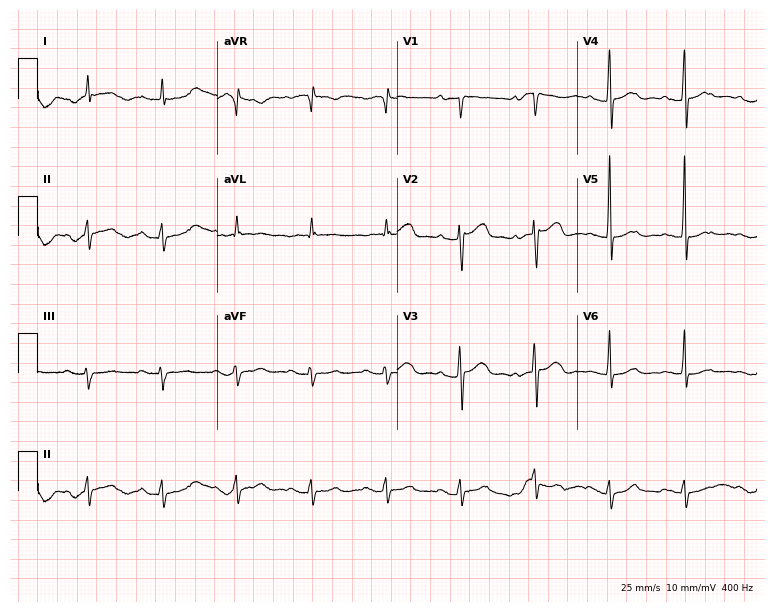
12-lead ECG from a man, 75 years old. No first-degree AV block, right bundle branch block (RBBB), left bundle branch block (LBBB), sinus bradycardia, atrial fibrillation (AF) or sinus tachycardia recorded for this tracing.